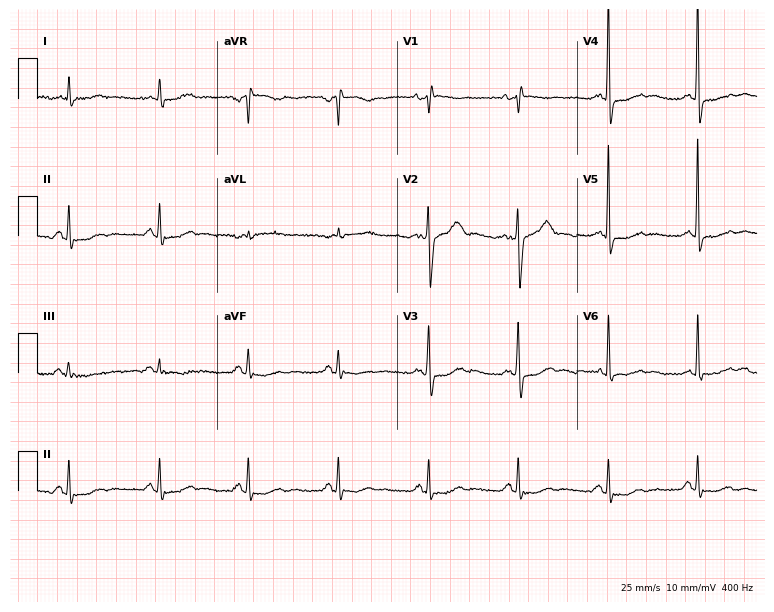
Resting 12-lead electrocardiogram (7.3-second recording at 400 Hz). Patient: a 70-year-old female. None of these six findings is recorded: first-degree AV block, right bundle branch block, left bundle branch block, sinus bradycardia, atrial fibrillation, sinus tachycardia. Findings outside these six are not listed.